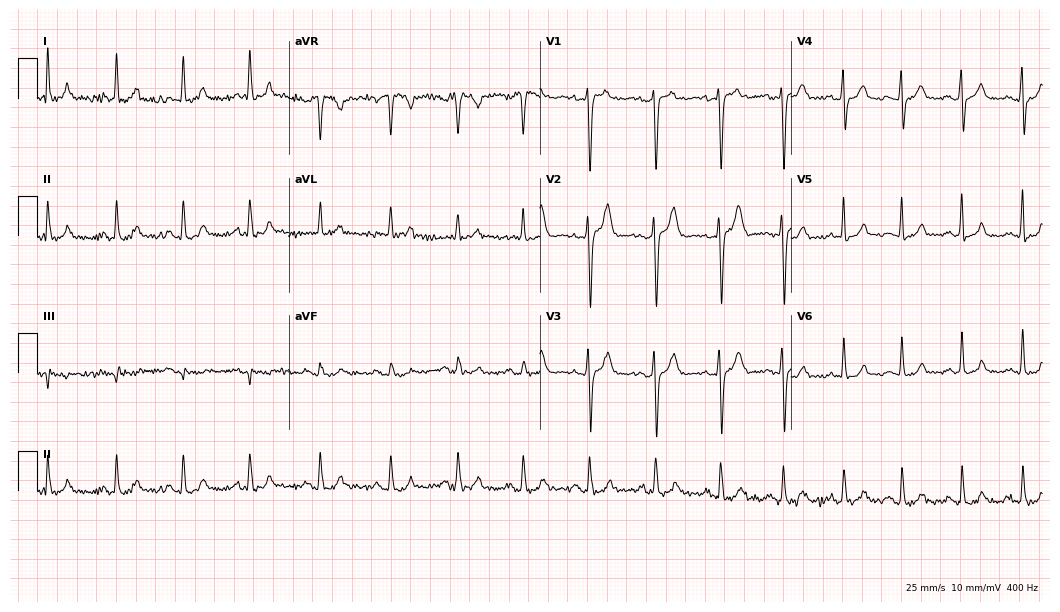
ECG (10.2-second recording at 400 Hz) — a male patient, 45 years old. Labelled as a normal ECG.